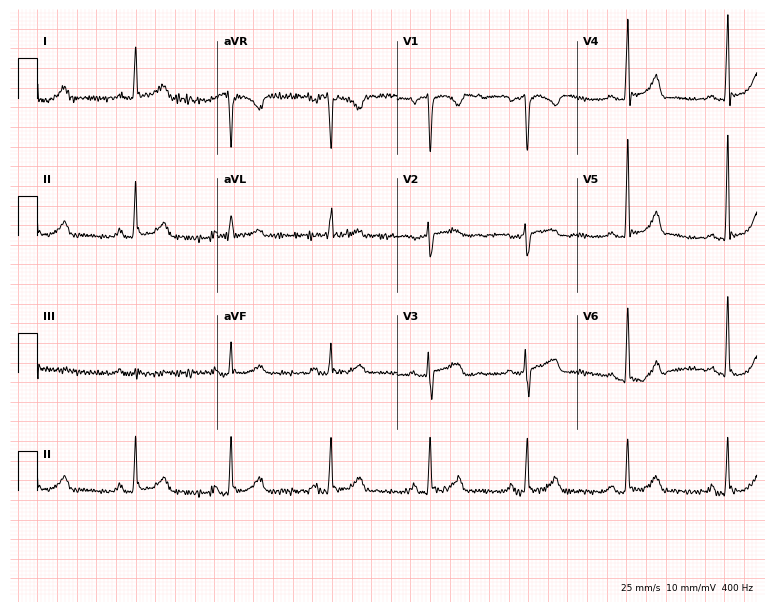
ECG — a 51-year-old woman. Screened for six findings — first-degree AV block, right bundle branch block (RBBB), left bundle branch block (LBBB), sinus bradycardia, atrial fibrillation (AF), sinus tachycardia — none is recorded. Only these six findings were labelled.